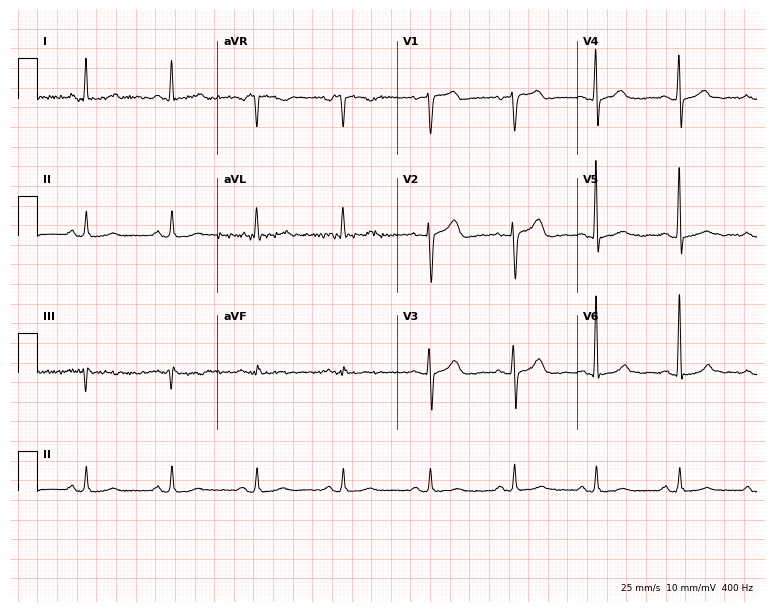
12-lead ECG from a woman, 60 years old (7.3-second recording at 400 Hz). Recorded interpretation: within normal limits.